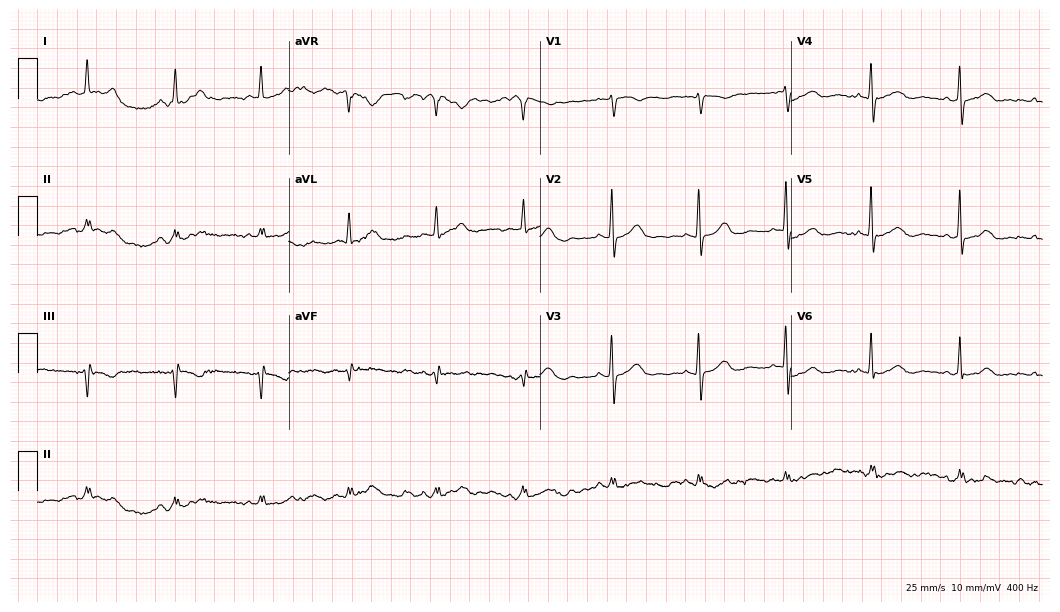
Resting 12-lead electrocardiogram (10.2-second recording at 400 Hz). Patient: a 75-year-old female. Read as a normal ECG.